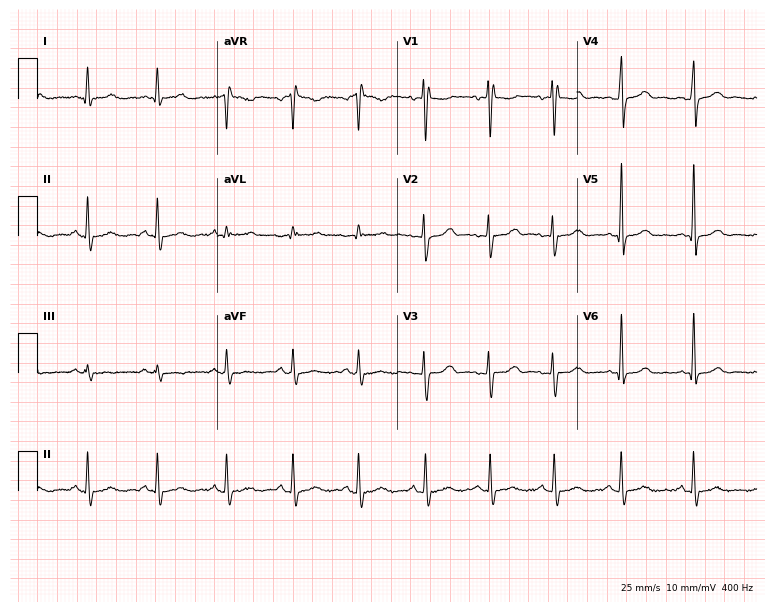
Resting 12-lead electrocardiogram. Patient: a 27-year-old female. None of these six findings is recorded: first-degree AV block, right bundle branch block, left bundle branch block, sinus bradycardia, atrial fibrillation, sinus tachycardia.